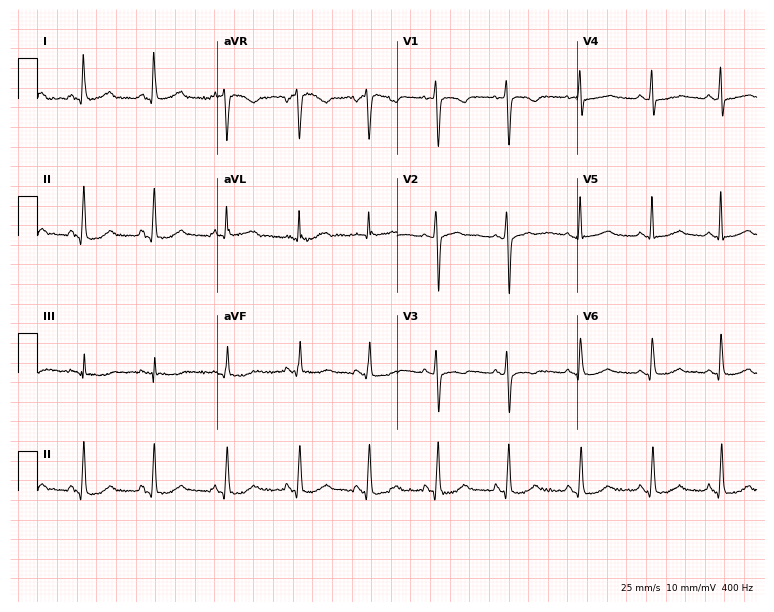
Electrocardiogram (7.3-second recording at 400 Hz), a 46-year-old woman. Of the six screened findings (first-degree AV block, right bundle branch block (RBBB), left bundle branch block (LBBB), sinus bradycardia, atrial fibrillation (AF), sinus tachycardia), none is recorded. Only these six findings were labelled.